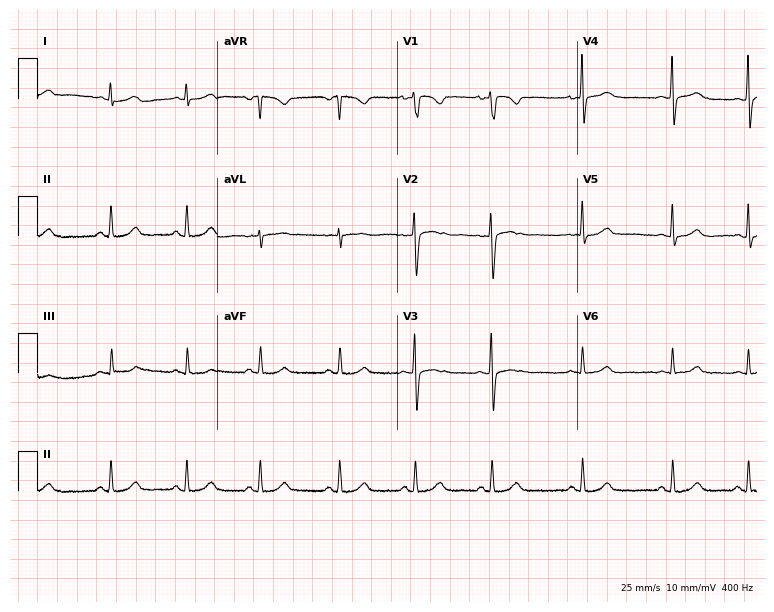
Electrocardiogram, a female, 21 years old. Of the six screened findings (first-degree AV block, right bundle branch block (RBBB), left bundle branch block (LBBB), sinus bradycardia, atrial fibrillation (AF), sinus tachycardia), none is recorded.